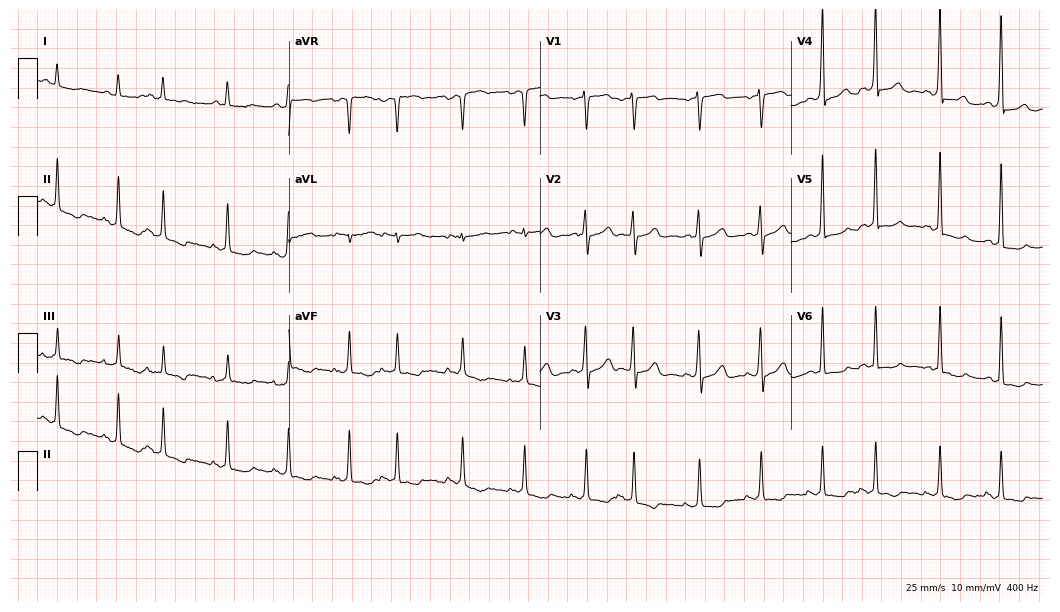
Resting 12-lead electrocardiogram. Patient: a male, 75 years old. None of these six findings is recorded: first-degree AV block, right bundle branch block (RBBB), left bundle branch block (LBBB), sinus bradycardia, atrial fibrillation (AF), sinus tachycardia.